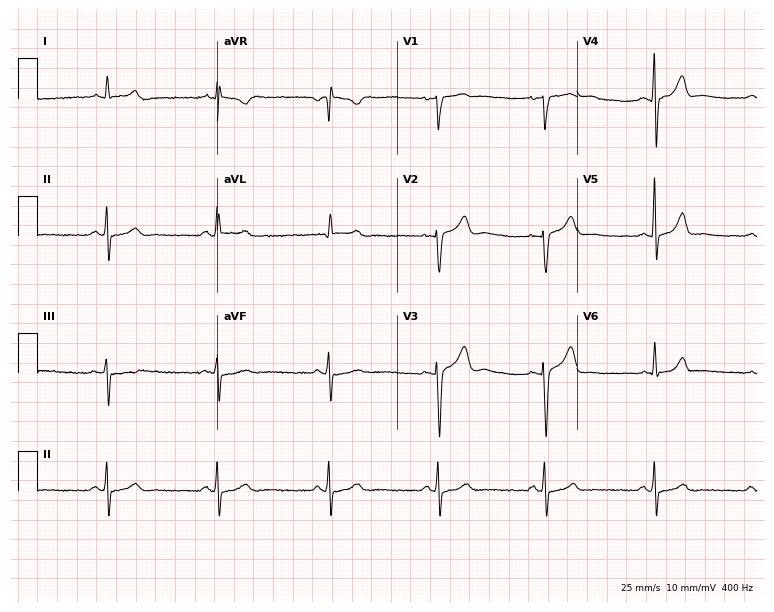
12-lead ECG from a male patient, 76 years old (7.3-second recording at 400 Hz). Recorded interpretation: within normal limits.